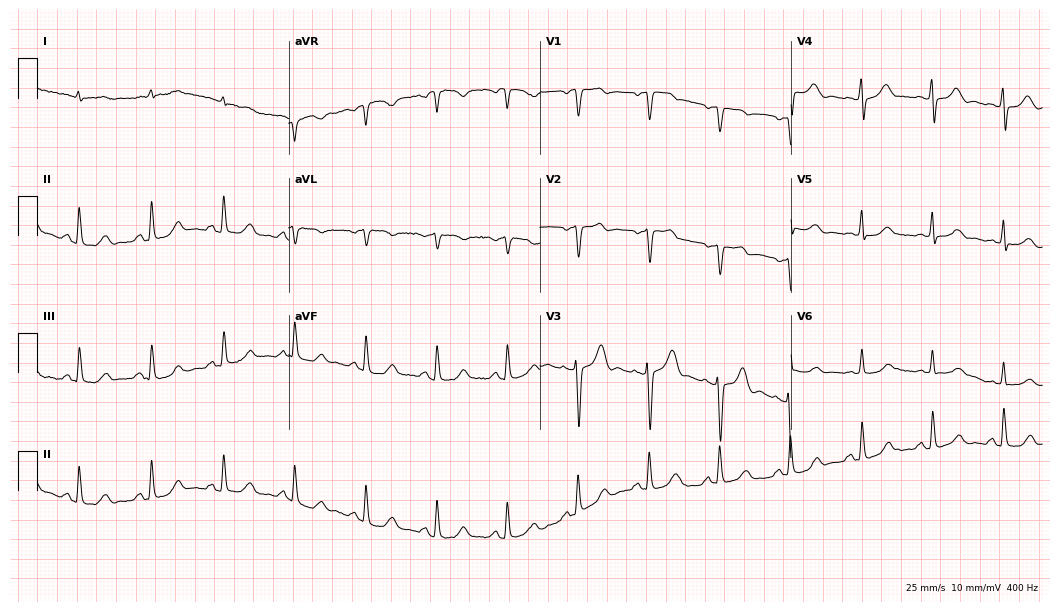
Resting 12-lead electrocardiogram (10.2-second recording at 400 Hz). Patient: a 76-year-old male. Read as a normal ECG.